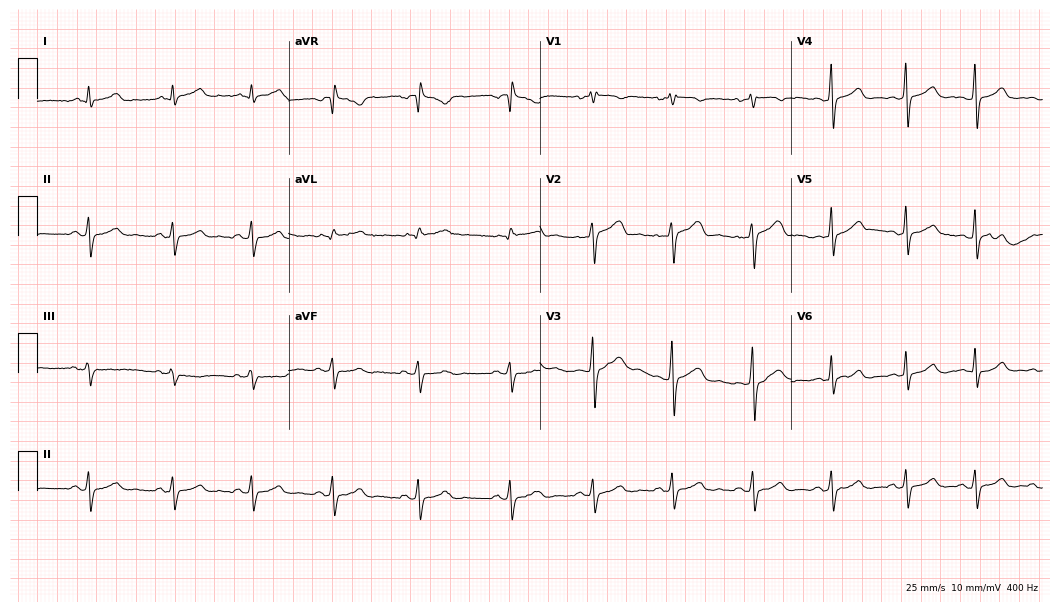
Standard 12-lead ECG recorded from a 29-year-old woman (10.2-second recording at 400 Hz). None of these six findings is recorded: first-degree AV block, right bundle branch block, left bundle branch block, sinus bradycardia, atrial fibrillation, sinus tachycardia.